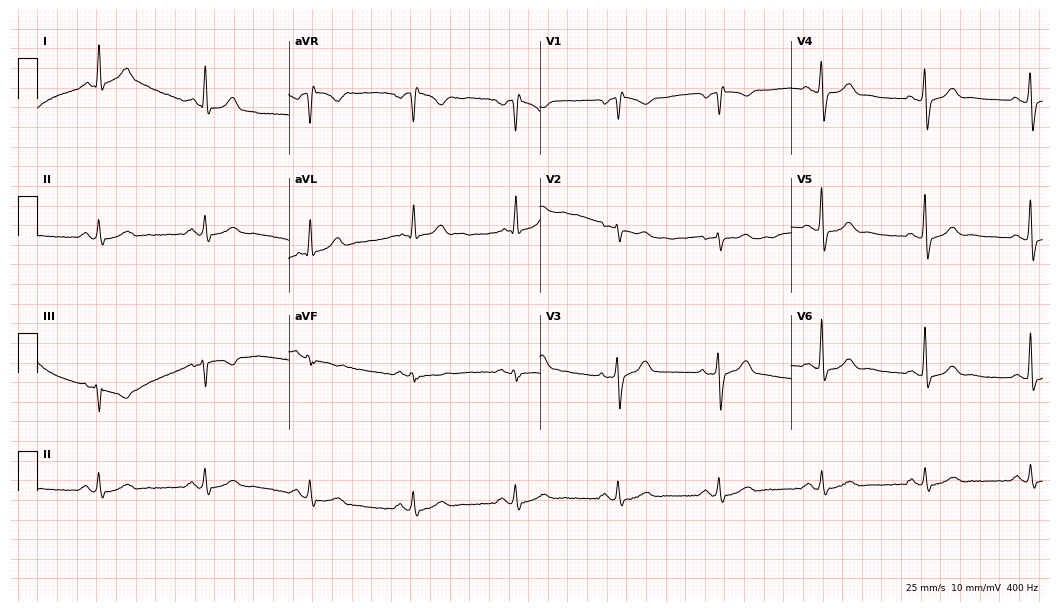
Standard 12-lead ECG recorded from a 59-year-old male patient. None of these six findings is recorded: first-degree AV block, right bundle branch block (RBBB), left bundle branch block (LBBB), sinus bradycardia, atrial fibrillation (AF), sinus tachycardia.